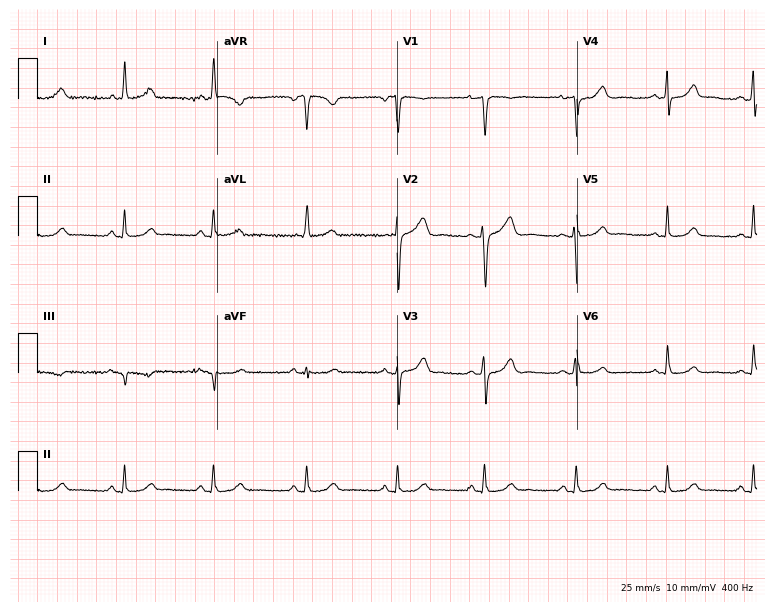
12-lead ECG (7.3-second recording at 400 Hz) from a woman, 35 years old. Labelled as a normal ECG.